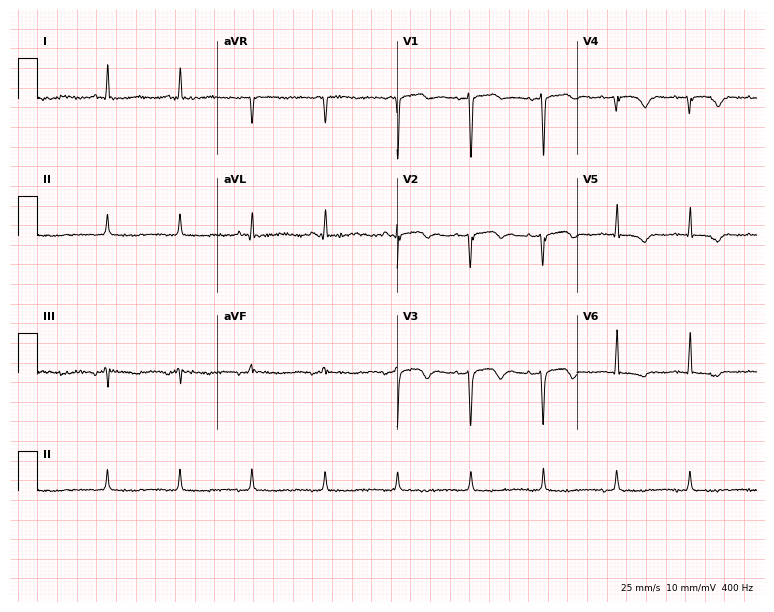
Standard 12-lead ECG recorded from a female patient, 73 years old (7.3-second recording at 400 Hz). None of these six findings is recorded: first-degree AV block, right bundle branch block, left bundle branch block, sinus bradycardia, atrial fibrillation, sinus tachycardia. Findings outside these six are not listed.